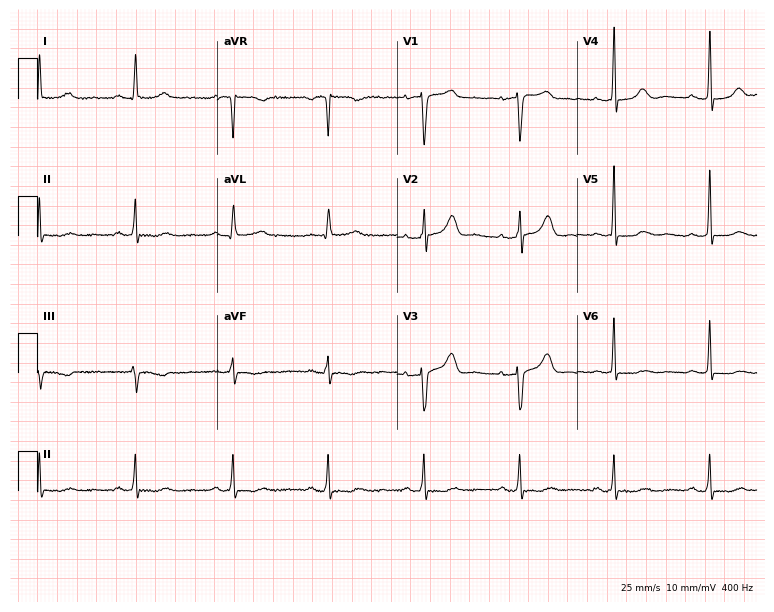
Standard 12-lead ECG recorded from a female patient, 60 years old (7.3-second recording at 400 Hz). Read as a normal ECG.